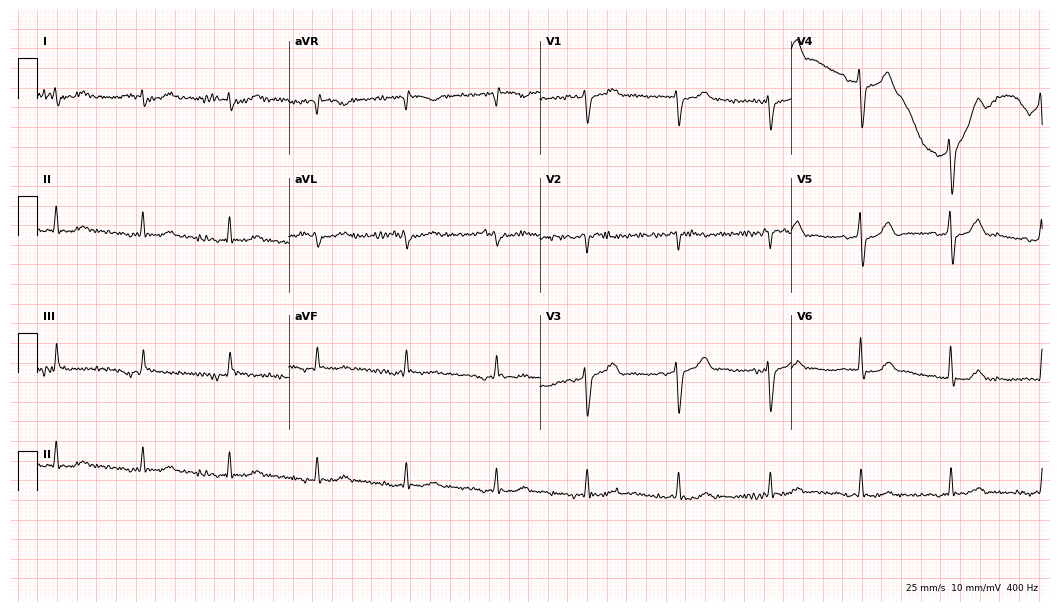
12-lead ECG (10.2-second recording at 400 Hz) from a man, 71 years old. Screened for six findings — first-degree AV block, right bundle branch block, left bundle branch block, sinus bradycardia, atrial fibrillation, sinus tachycardia — none is recorded. Other findings, if any, are not listed.